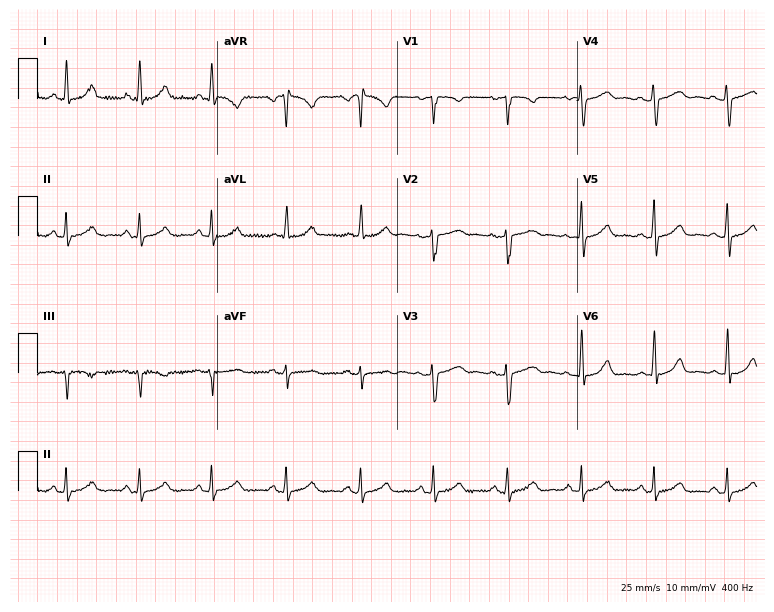
Standard 12-lead ECG recorded from a 45-year-old female patient (7.3-second recording at 400 Hz). Read as a normal ECG.